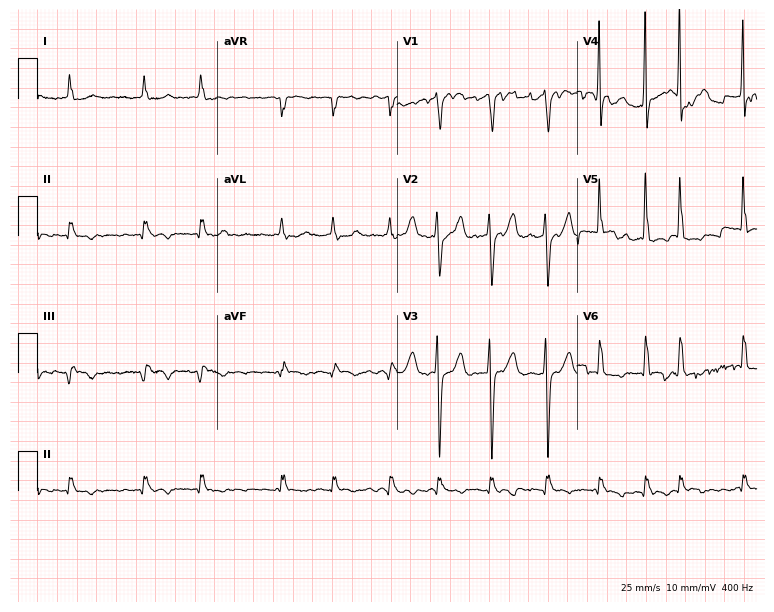
ECG — a 62-year-old male patient. Findings include atrial fibrillation (AF).